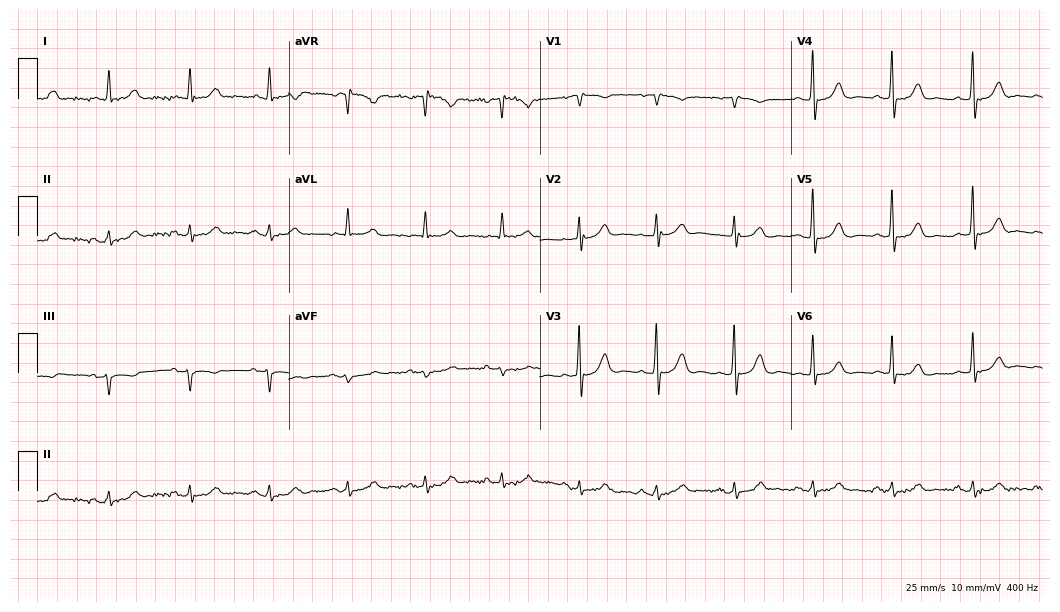
Standard 12-lead ECG recorded from a male, 82 years old (10.2-second recording at 400 Hz). Read as a normal ECG.